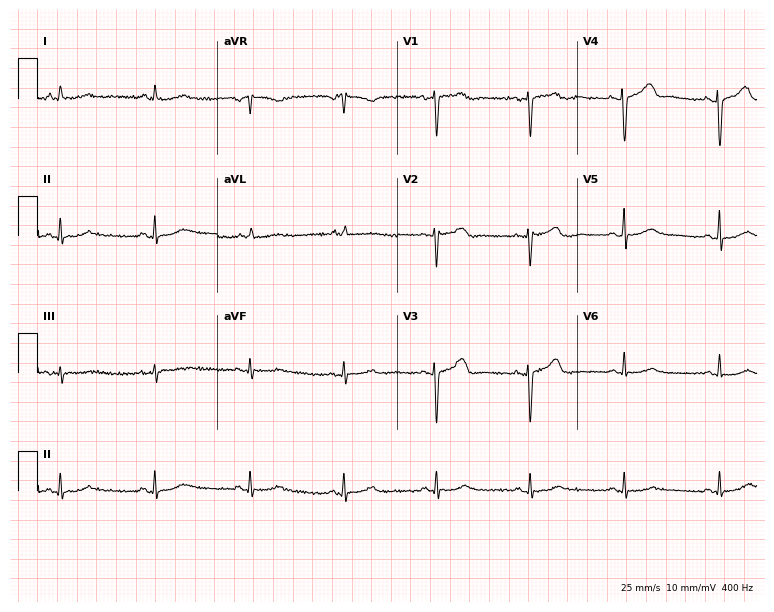
12-lead ECG (7.3-second recording at 400 Hz) from a 43-year-old woman. Labelled as a normal ECG.